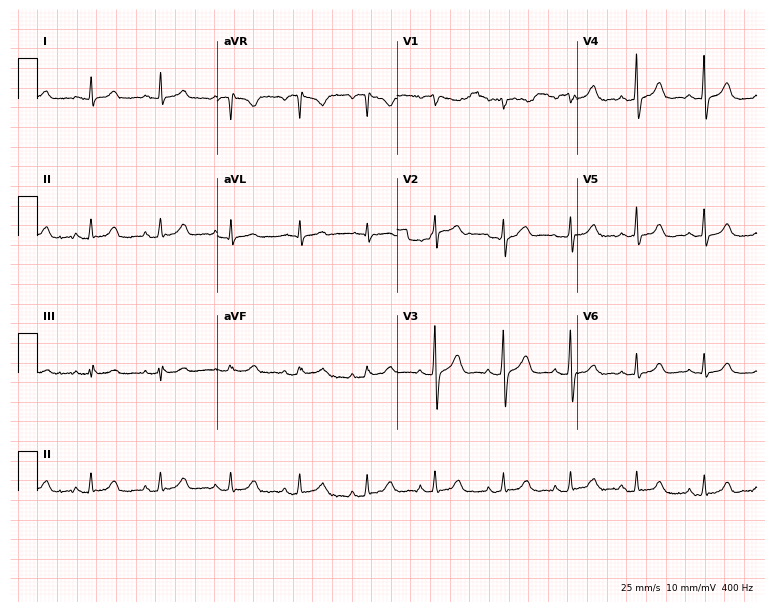
Electrocardiogram, a 56-year-old woman. Overall reading on record: normal ECG.